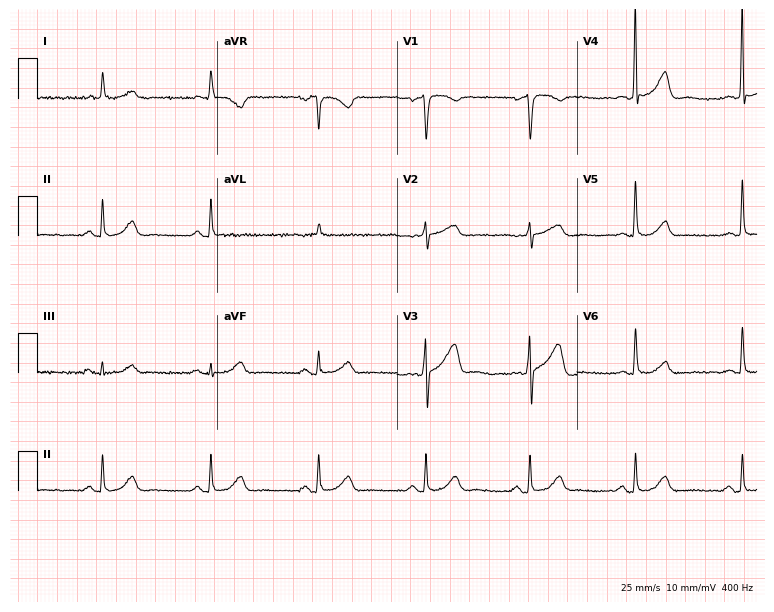
ECG — a 78-year-old man. Screened for six findings — first-degree AV block, right bundle branch block, left bundle branch block, sinus bradycardia, atrial fibrillation, sinus tachycardia — none is recorded. Findings outside these six are not listed.